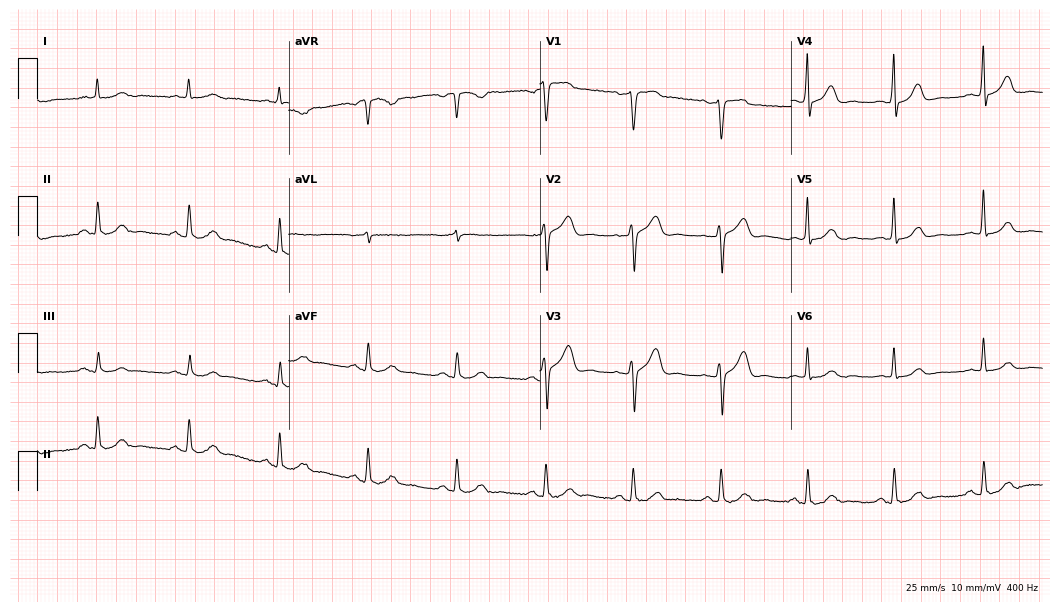
12-lead ECG from a 66-year-old man. Labelled as a normal ECG.